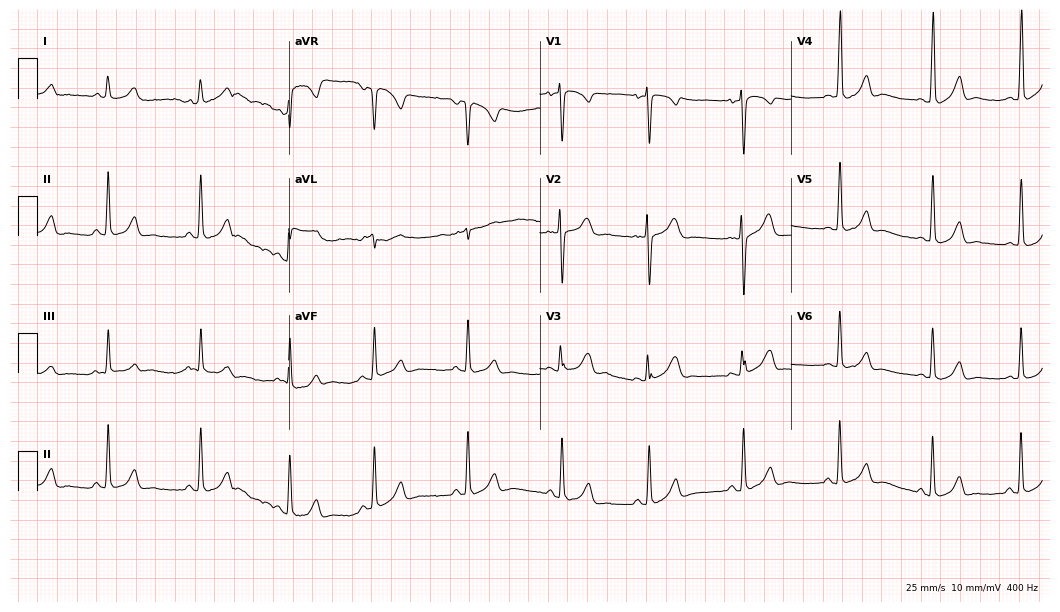
Standard 12-lead ECG recorded from a 25-year-old female patient. Read as a normal ECG.